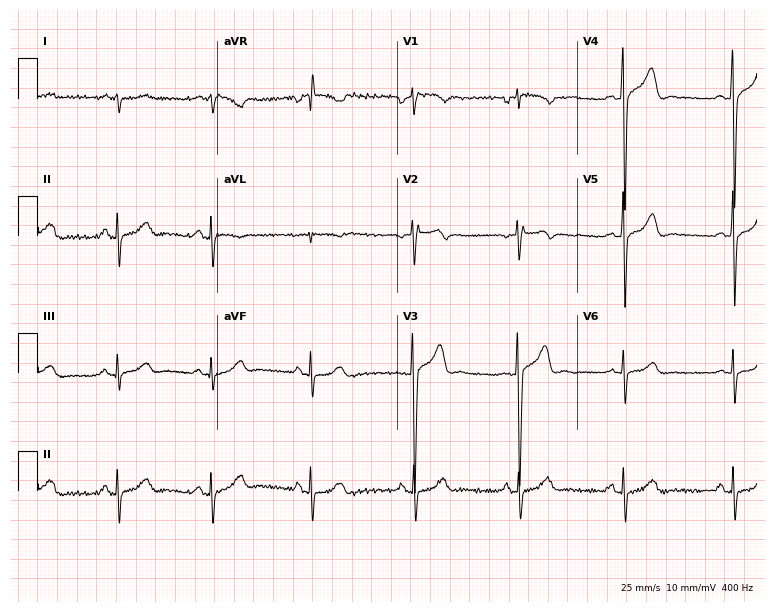
Resting 12-lead electrocardiogram (7.3-second recording at 400 Hz). Patient: a man, 34 years old. None of these six findings is recorded: first-degree AV block, right bundle branch block, left bundle branch block, sinus bradycardia, atrial fibrillation, sinus tachycardia. Other findings, if any, are not listed.